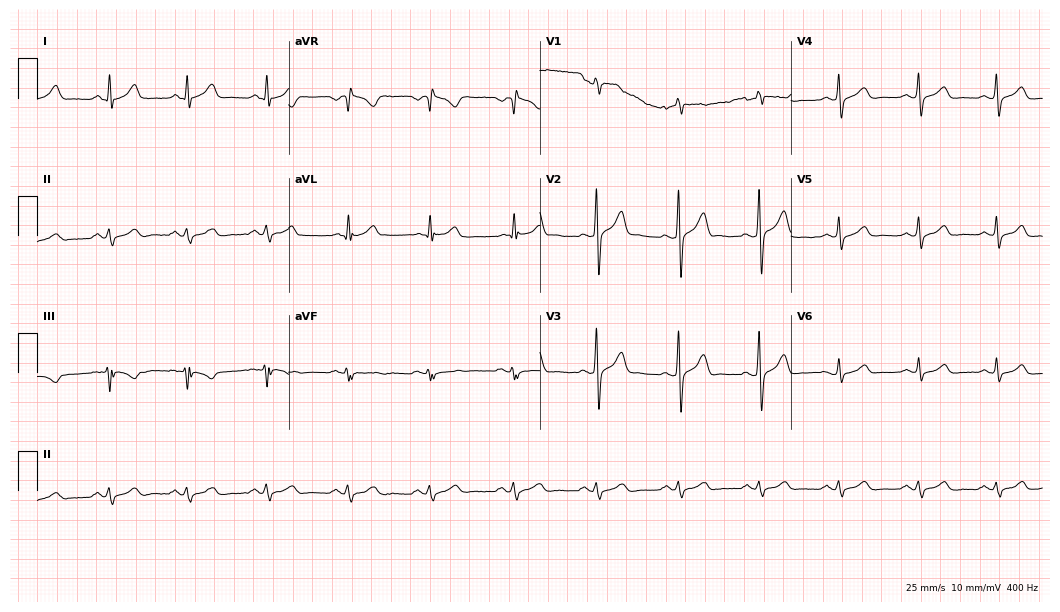
Electrocardiogram (10.2-second recording at 400 Hz), a 45-year-old man. Overall reading on record: normal ECG.